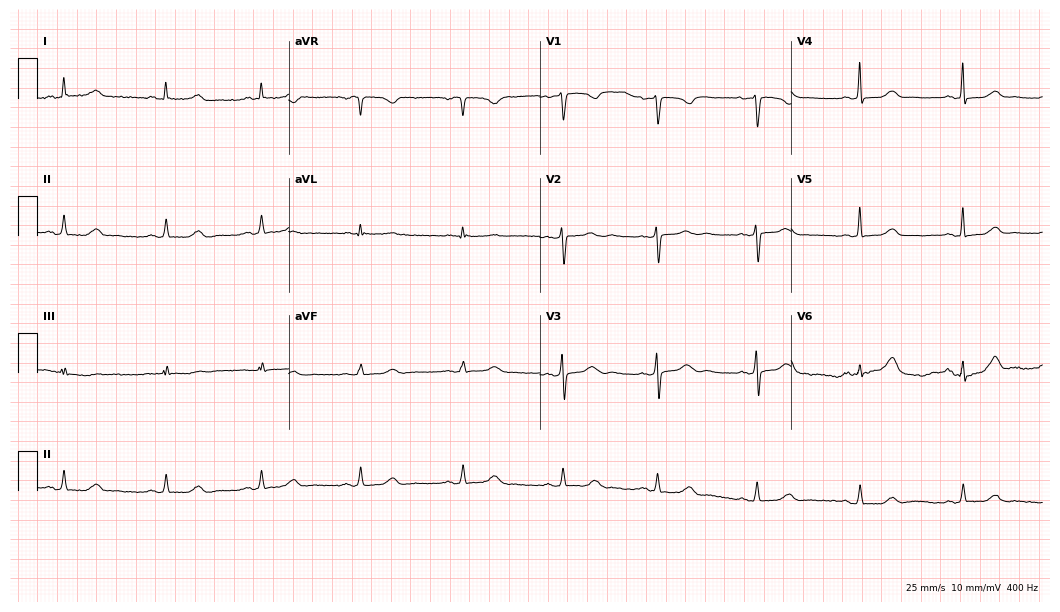
12-lead ECG (10.2-second recording at 400 Hz) from a 37-year-old woman. Labelled as a normal ECG.